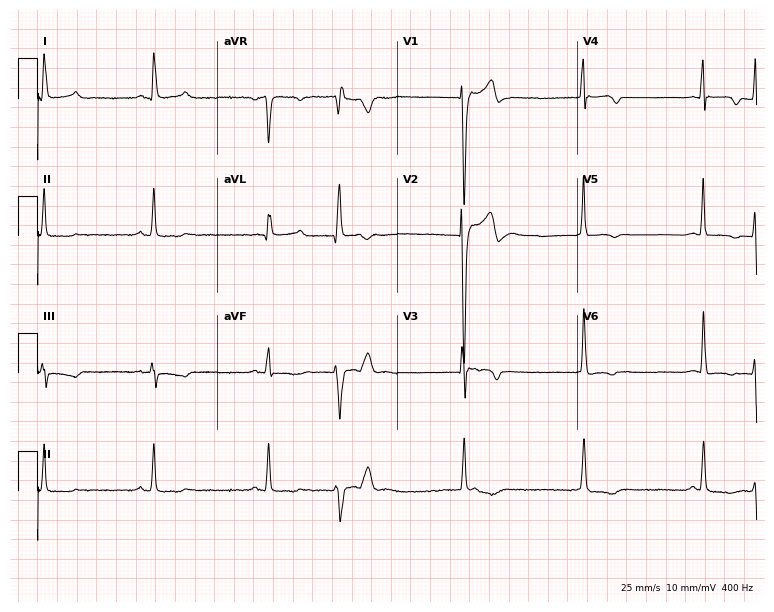
Resting 12-lead electrocardiogram (7.3-second recording at 400 Hz). Patient: a man, 35 years old. The tracing shows sinus bradycardia (a sinus rate of 50 beats per minute or less).